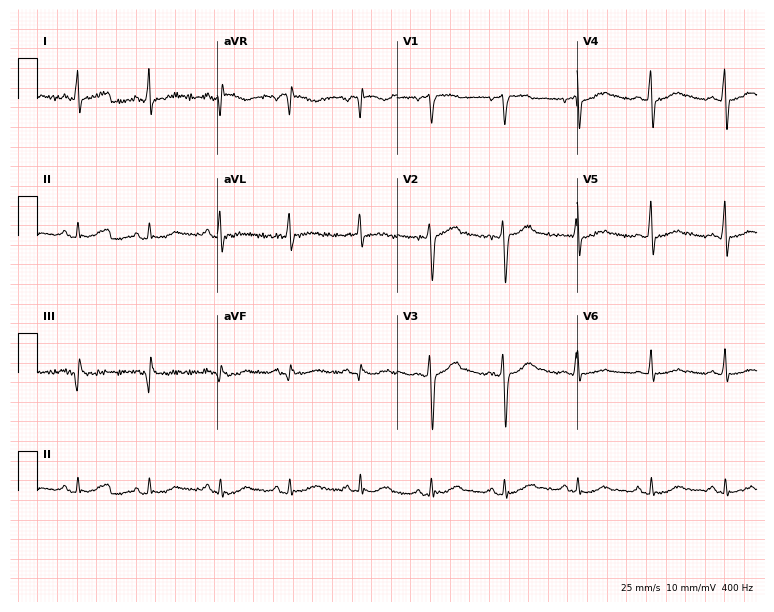
ECG (7.3-second recording at 400 Hz) — a woman, 48 years old. Screened for six findings — first-degree AV block, right bundle branch block, left bundle branch block, sinus bradycardia, atrial fibrillation, sinus tachycardia — none is recorded.